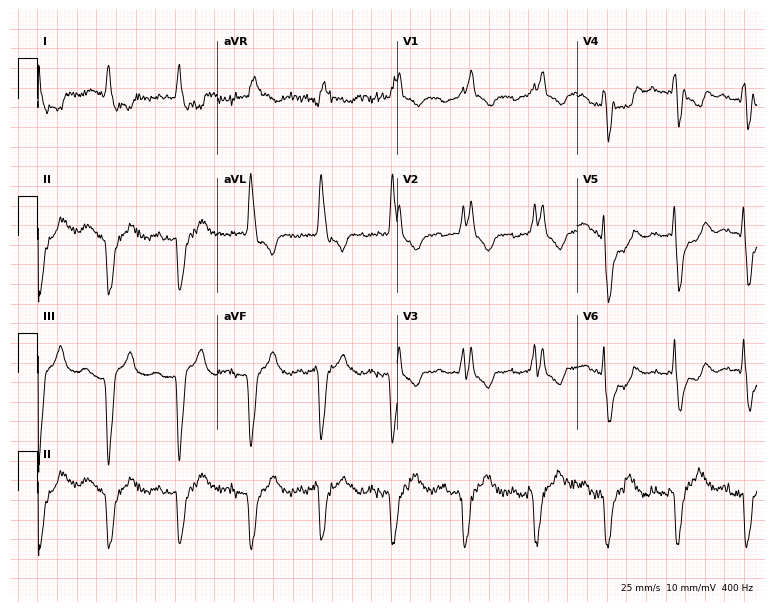
Electrocardiogram (7.3-second recording at 400 Hz), a 79-year-old man. Interpretation includes right bundle branch block.